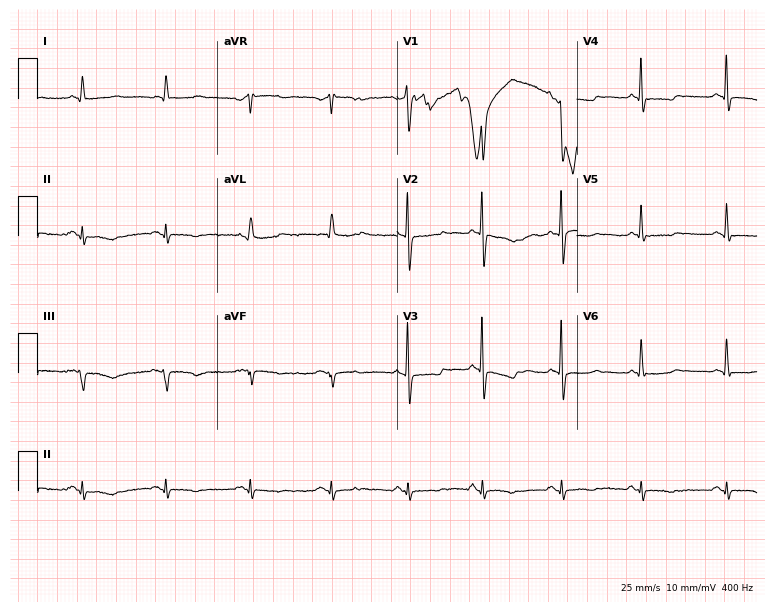
Electrocardiogram (7.3-second recording at 400 Hz), a male, 36 years old. Of the six screened findings (first-degree AV block, right bundle branch block, left bundle branch block, sinus bradycardia, atrial fibrillation, sinus tachycardia), none is recorded.